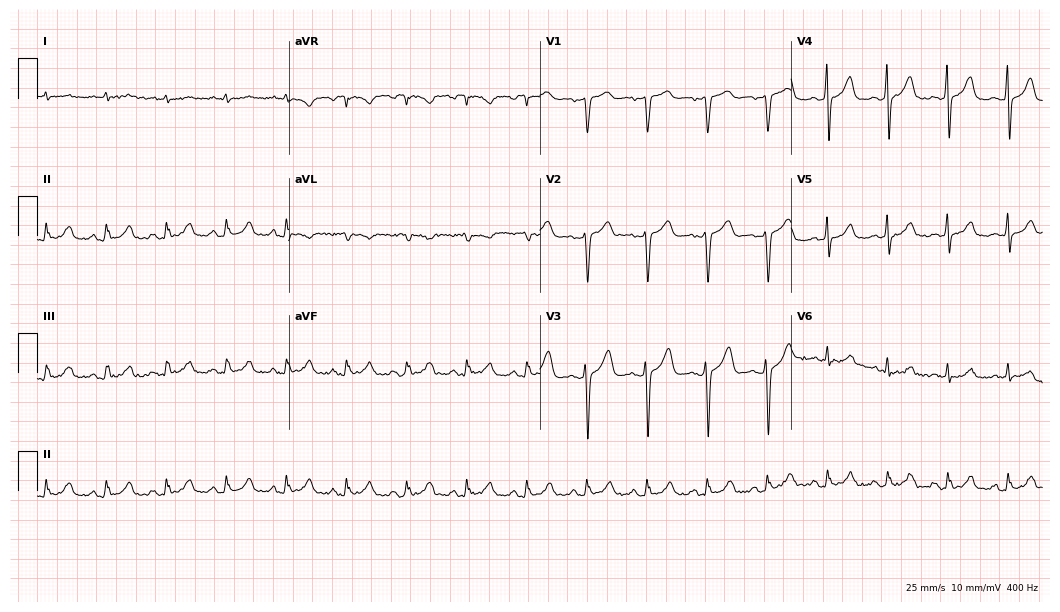
Resting 12-lead electrocardiogram. Patient: a male, 49 years old. None of these six findings is recorded: first-degree AV block, right bundle branch block, left bundle branch block, sinus bradycardia, atrial fibrillation, sinus tachycardia.